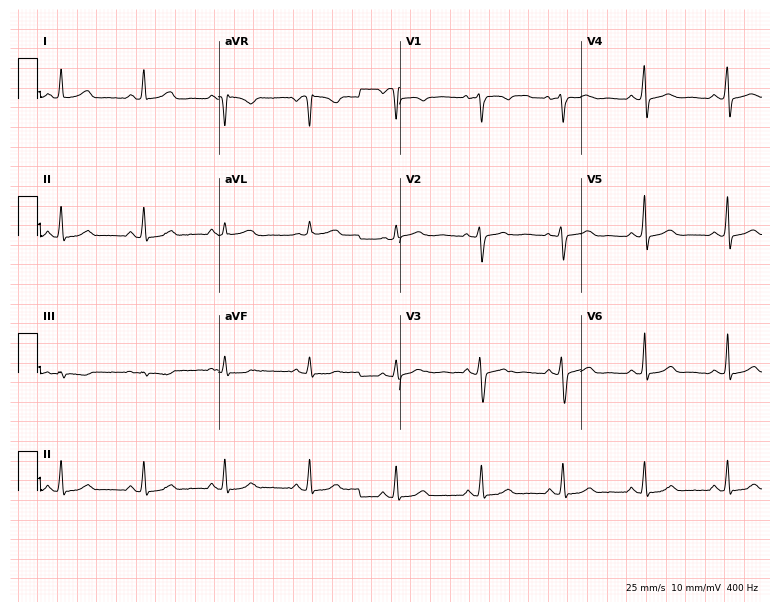
12-lead ECG from a 26-year-old female patient. Labelled as a normal ECG.